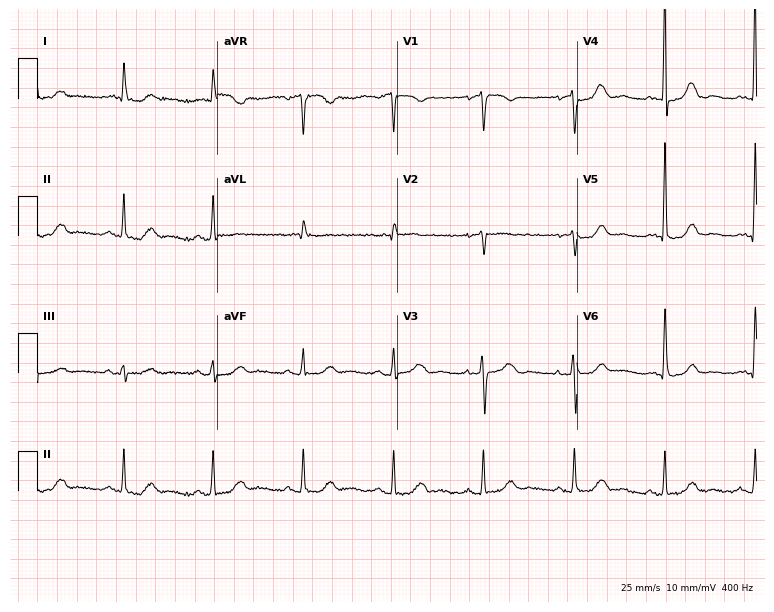
12-lead ECG from a female patient, 83 years old. Labelled as a normal ECG.